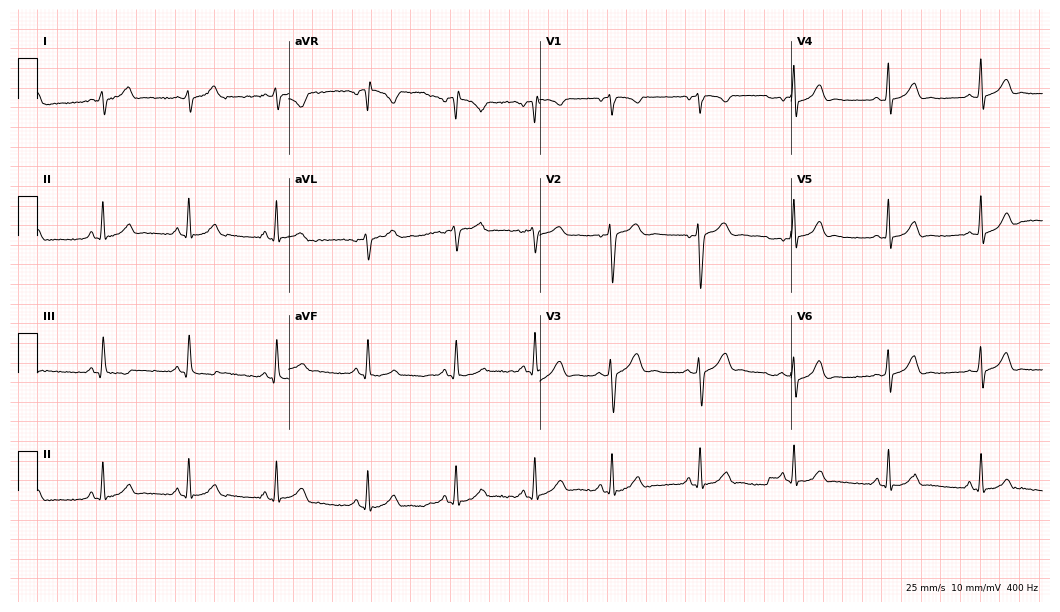
12-lead ECG from a female, 17 years old (10.2-second recording at 400 Hz). Recorded interpretation: within normal limits.